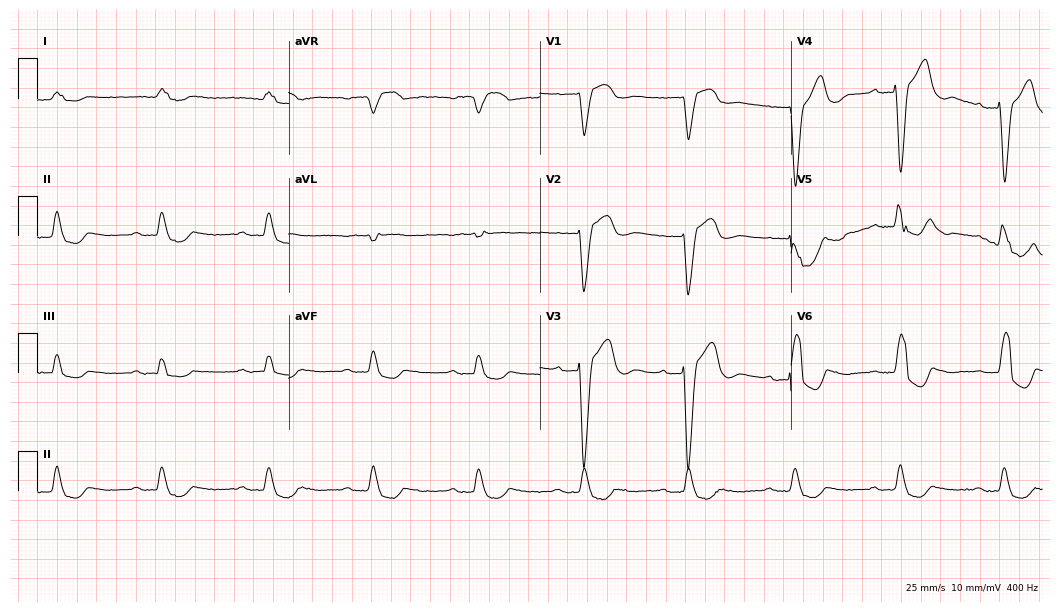
ECG (10.2-second recording at 400 Hz) — a male, 74 years old. Findings include first-degree AV block, left bundle branch block.